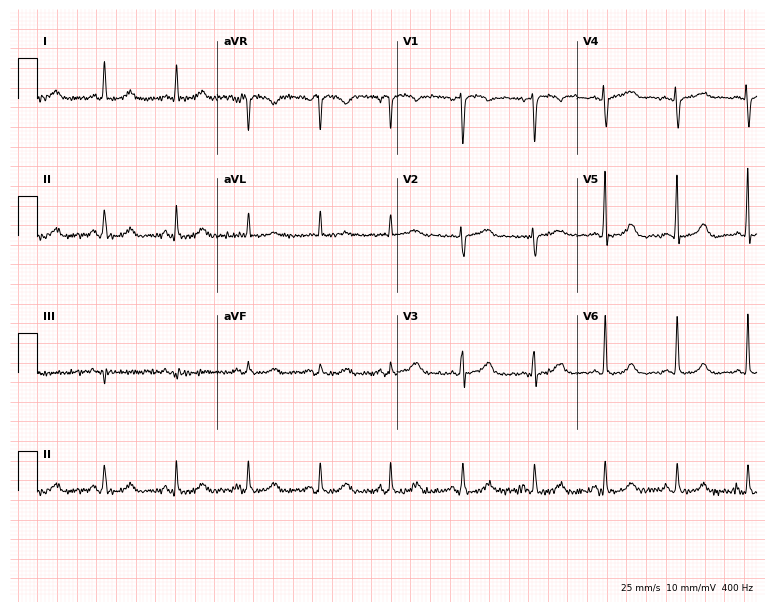
Standard 12-lead ECG recorded from a female, 61 years old. Read as a normal ECG.